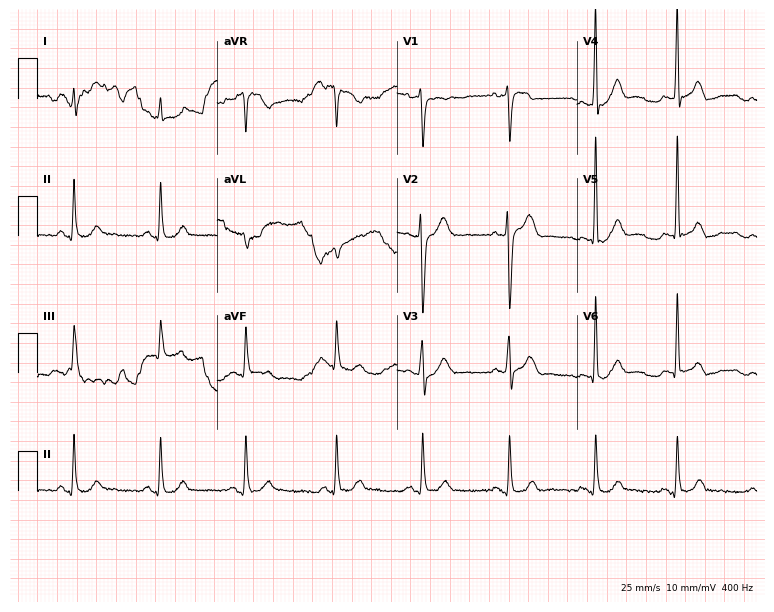
Resting 12-lead electrocardiogram. Patient: a 45-year-old male. Read as a normal ECG.